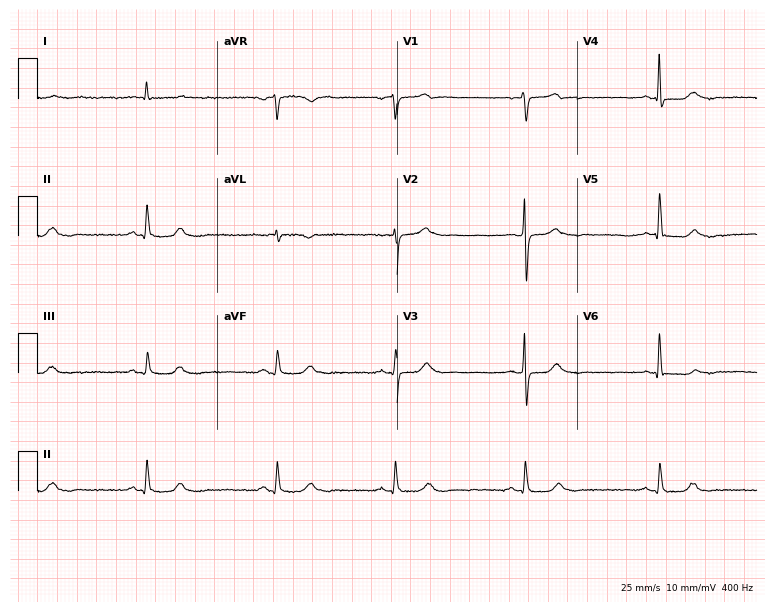
12-lead ECG from a 75-year-old male. Shows sinus bradycardia (a sinus rate of 50 beats per minute or less).